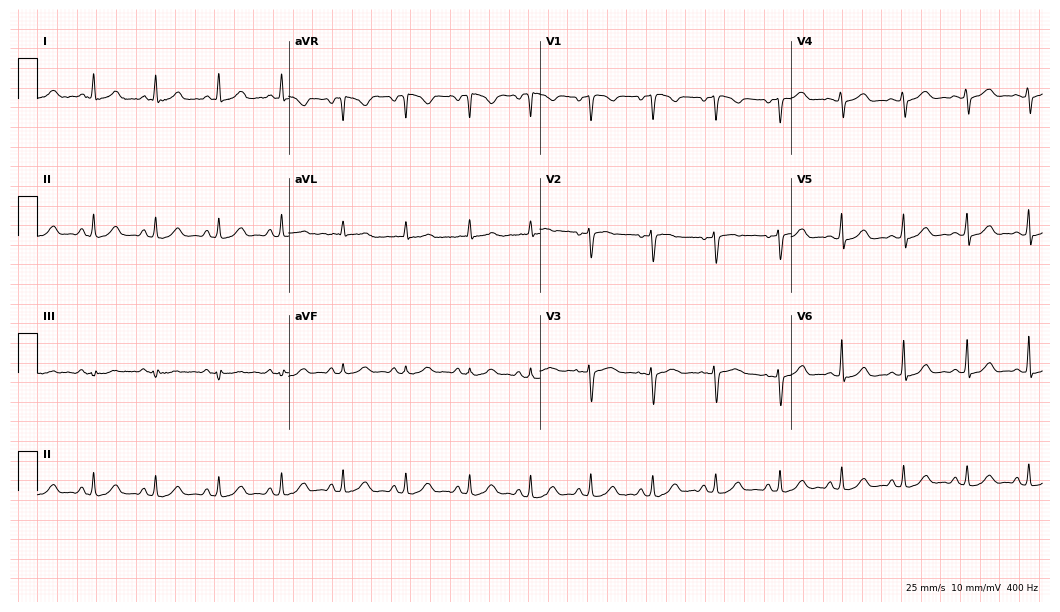
Standard 12-lead ECG recorded from a woman, 37 years old. Read as a normal ECG.